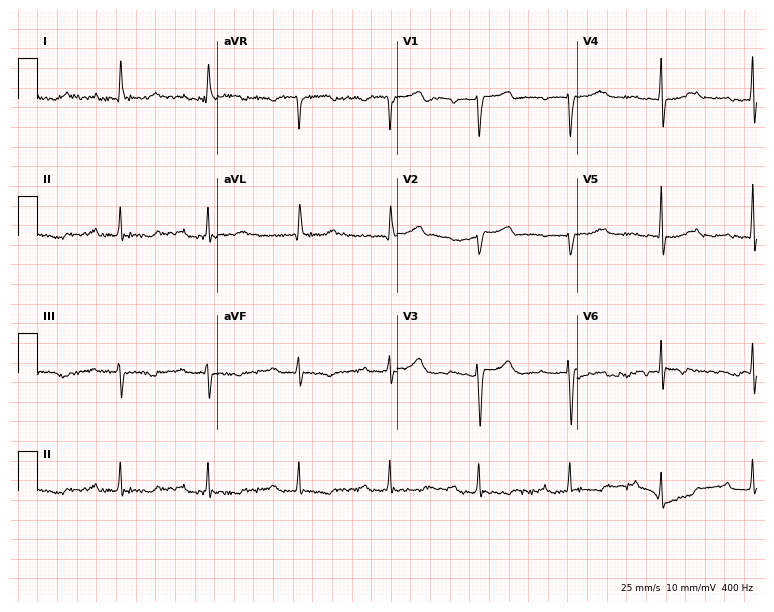
12-lead ECG from a 40-year-old female. Shows first-degree AV block.